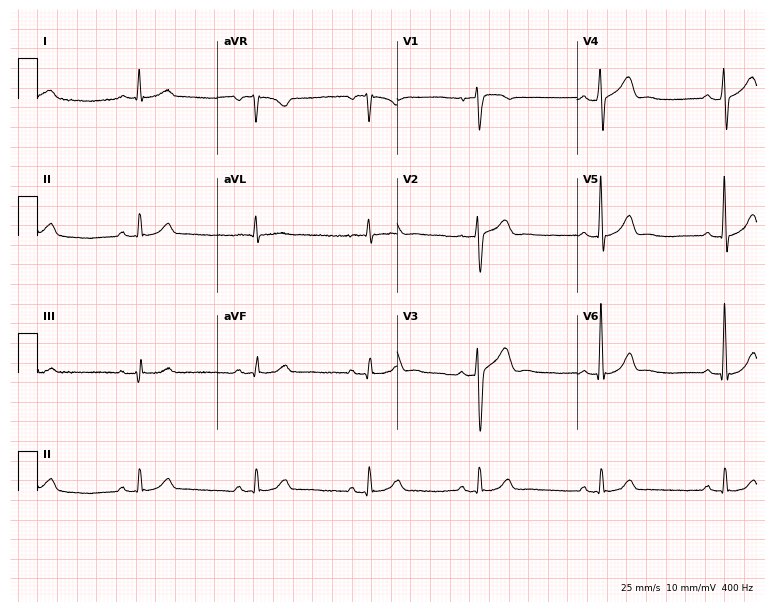
12-lead ECG from an 80-year-old male (7.3-second recording at 400 Hz). Recorded interpretation: within normal limits.